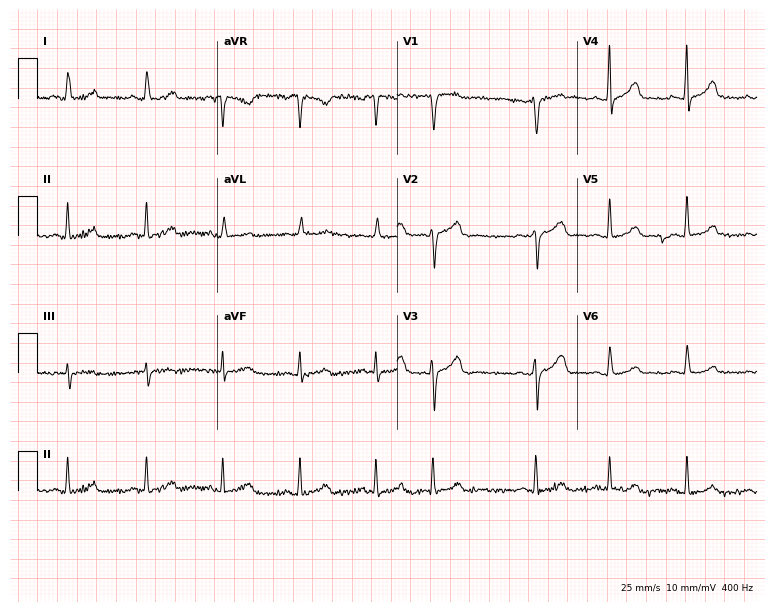
12-lead ECG from a female patient, 37 years old. Screened for six findings — first-degree AV block, right bundle branch block (RBBB), left bundle branch block (LBBB), sinus bradycardia, atrial fibrillation (AF), sinus tachycardia — none is recorded. Findings outside these six are not listed.